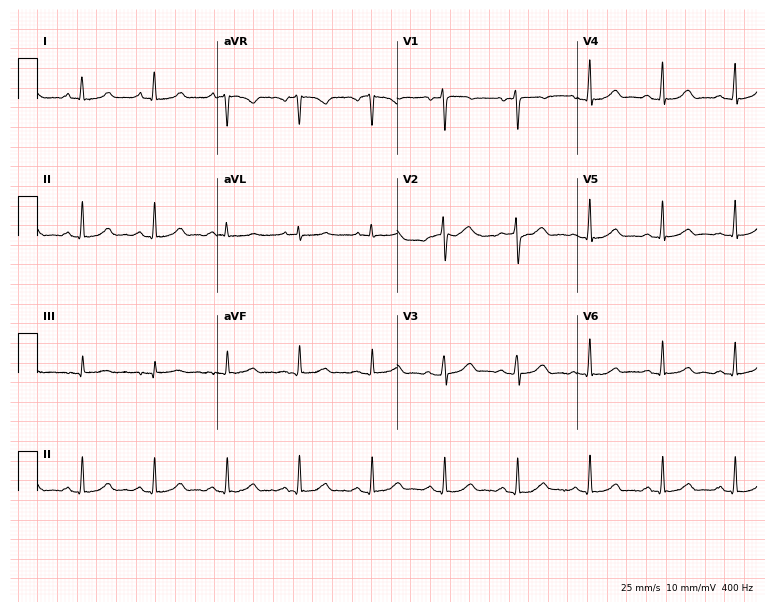
ECG — a female, 60 years old. Labelled as a normal ECG.